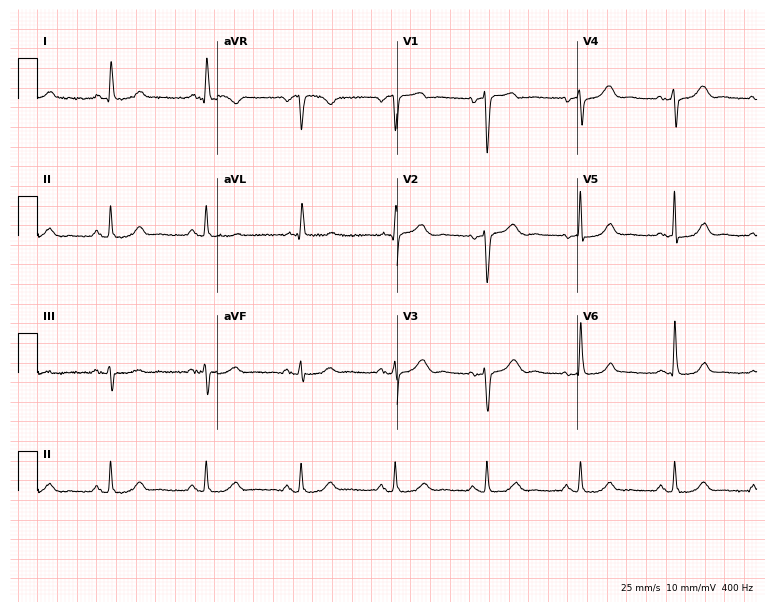
Standard 12-lead ECG recorded from a woman, 67 years old. Read as a normal ECG.